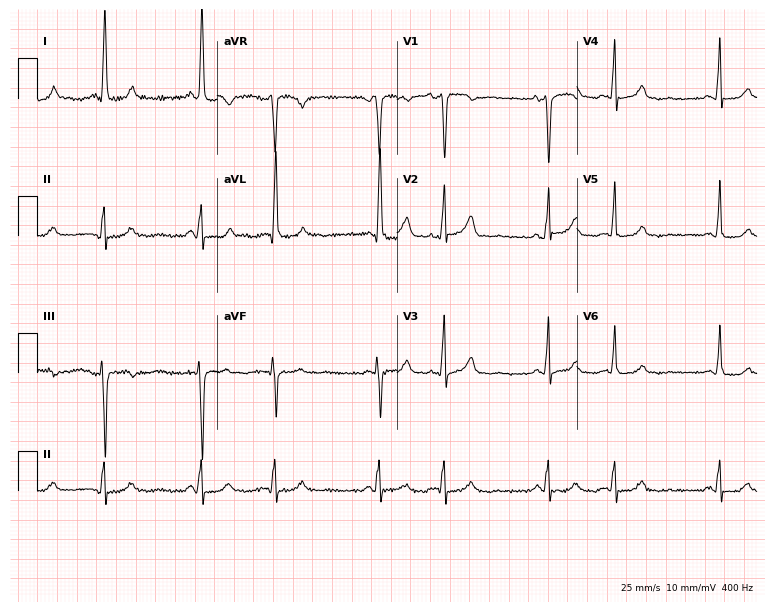
12-lead ECG from a female patient, 76 years old. No first-degree AV block, right bundle branch block, left bundle branch block, sinus bradycardia, atrial fibrillation or sinus tachycardia recorded for this tracing. Only these six findings were labelled.